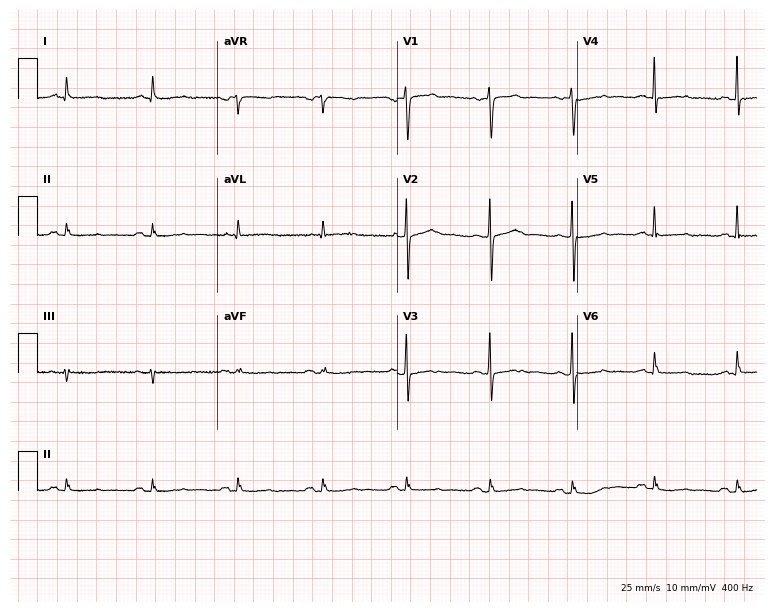
ECG — a male, 77 years old. Screened for six findings — first-degree AV block, right bundle branch block, left bundle branch block, sinus bradycardia, atrial fibrillation, sinus tachycardia — none is recorded. Only these six findings were labelled.